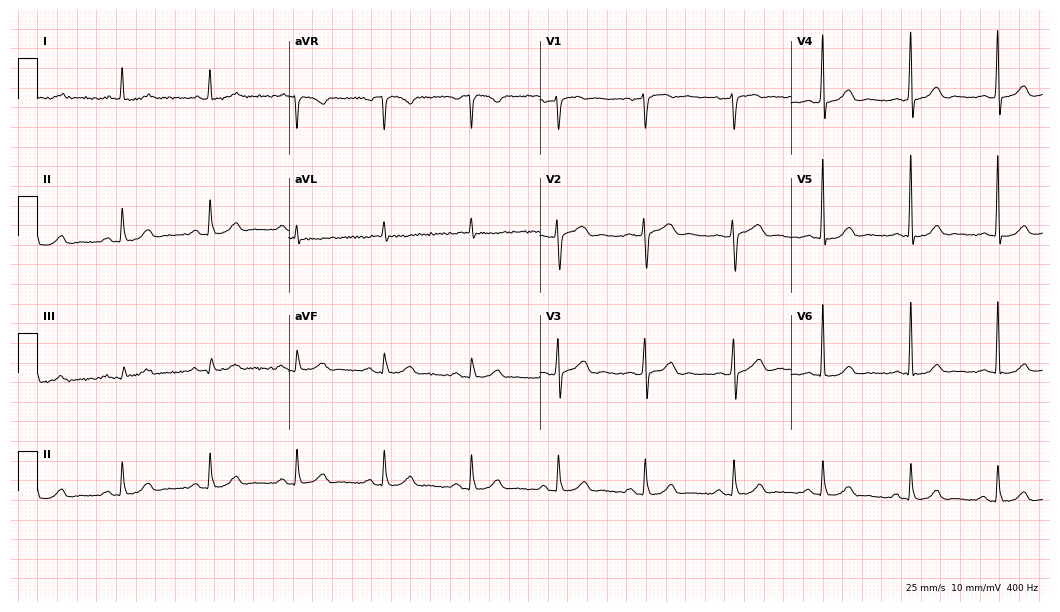
12-lead ECG from a 66-year-old male. Labelled as a normal ECG.